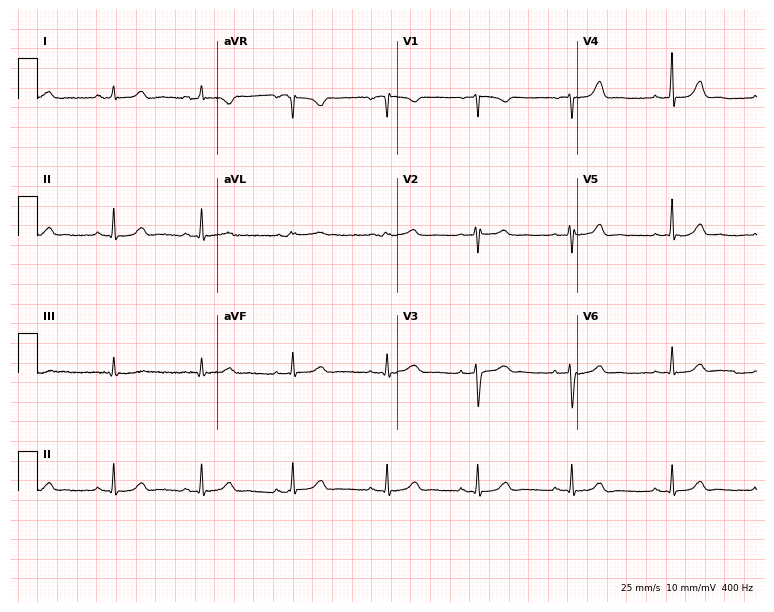
12-lead ECG from a female, 33 years old. Recorded interpretation: within normal limits.